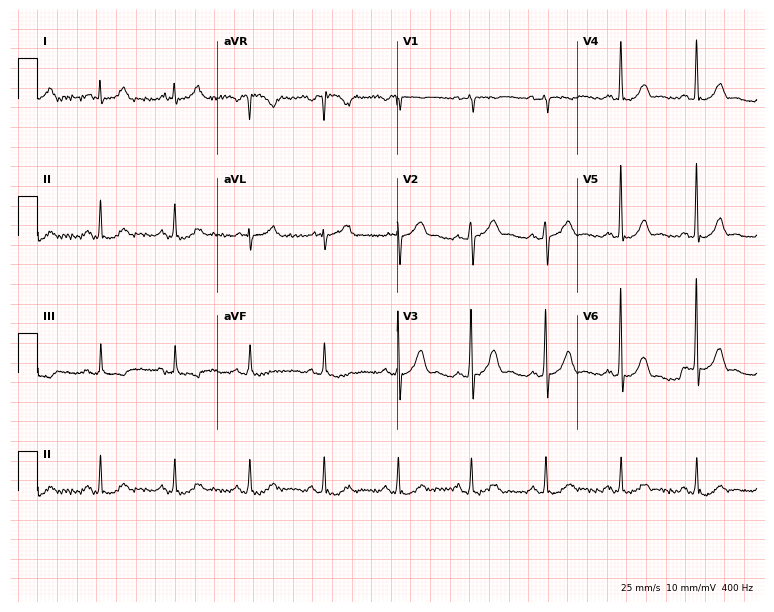
Electrocardiogram, a male patient, 53 years old. Of the six screened findings (first-degree AV block, right bundle branch block, left bundle branch block, sinus bradycardia, atrial fibrillation, sinus tachycardia), none is recorded. Findings outside these six are not listed.